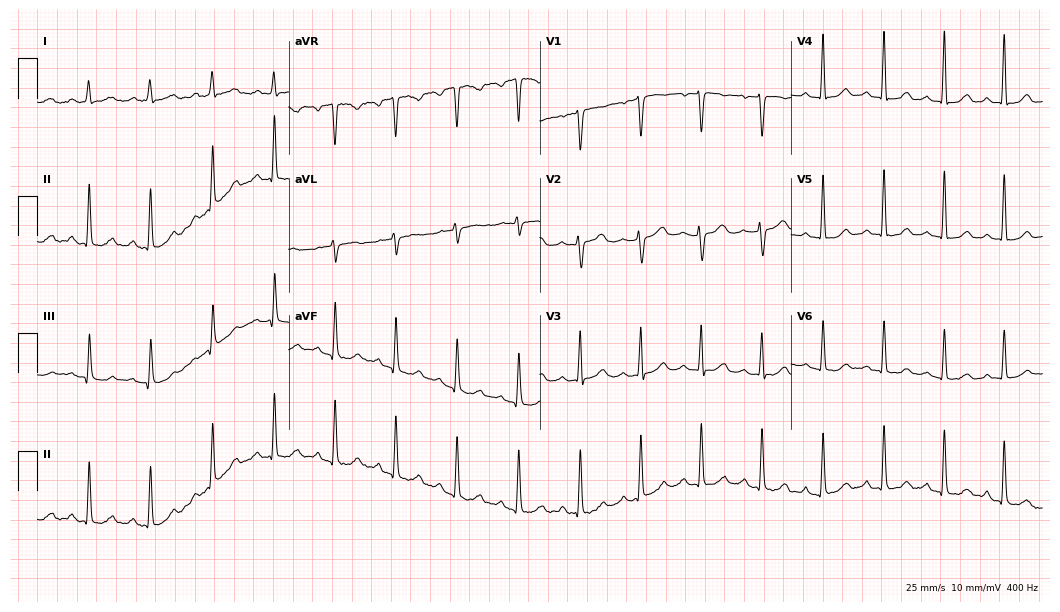
Electrocardiogram (10.2-second recording at 400 Hz), a female patient, 57 years old. Overall reading on record: normal ECG.